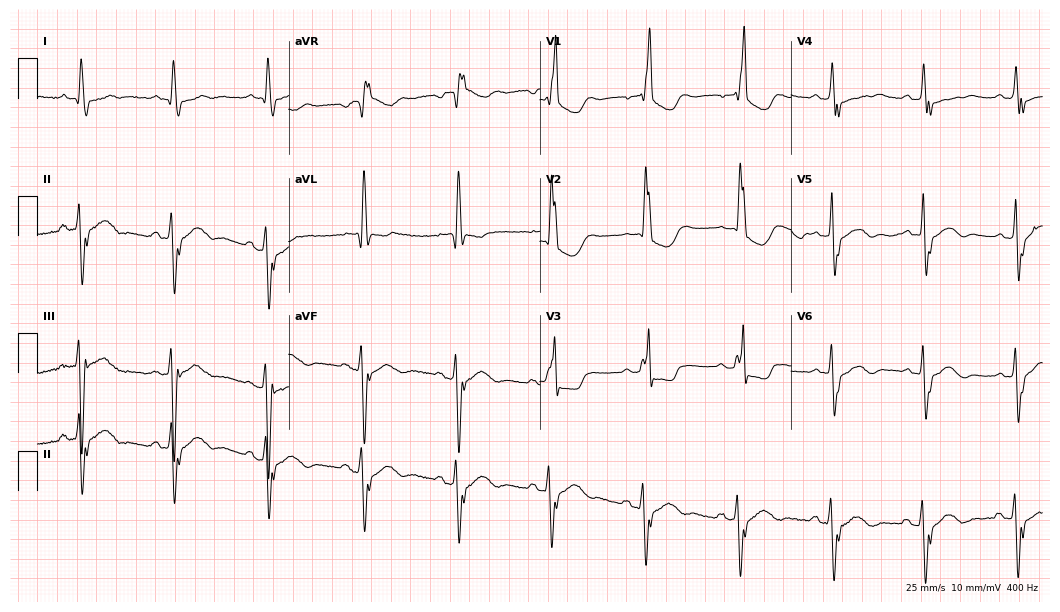
ECG (10.2-second recording at 400 Hz) — a 78-year-old woman. Findings include right bundle branch block.